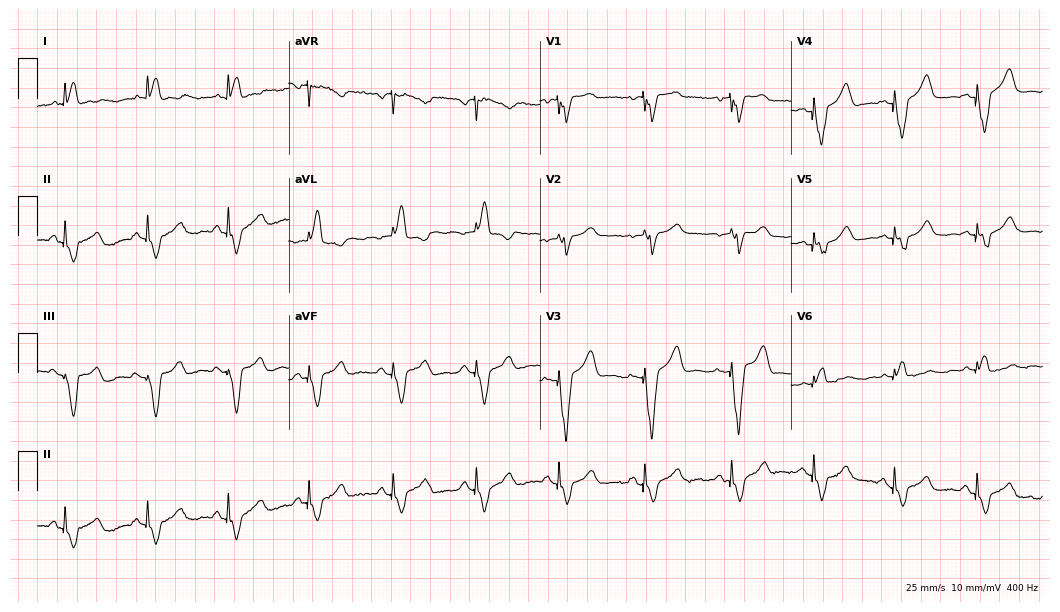
12-lead ECG from a woman, 84 years old. Screened for six findings — first-degree AV block, right bundle branch block, left bundle branch block, sinus bradycardia, atrial fibrillation, sinus tachycardia — none is recorded.